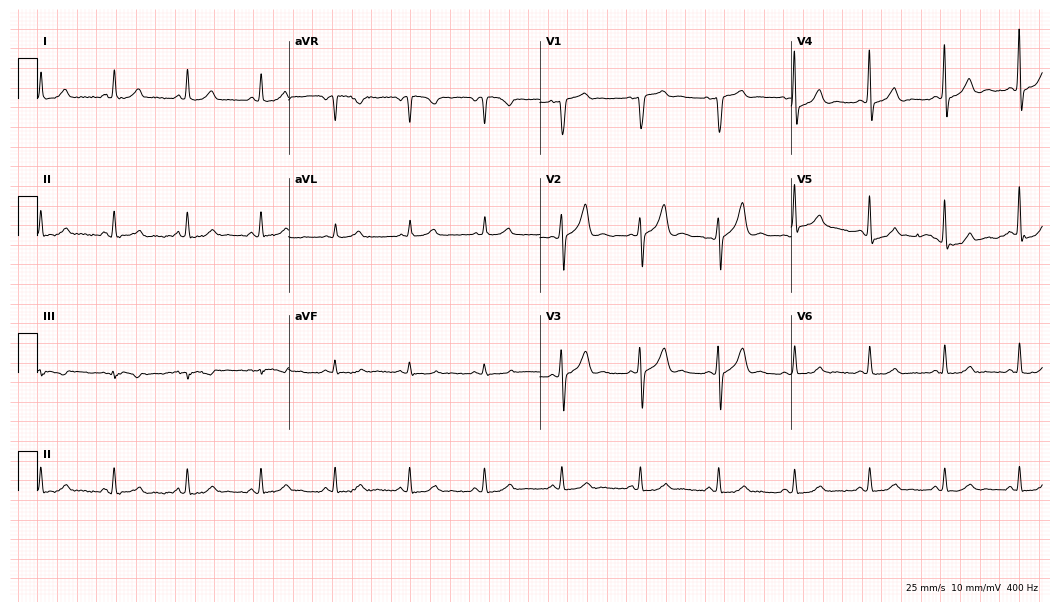
Standard 12-lead ECG recorded from a male, 43 years old (10.2-second recording at 400 Hz). None of these six findings is recorded: first-degree AV block, right bundle branch block, left bundle branch block, sinus bradycardia, atrial fibrillation, sinus tachycardia.